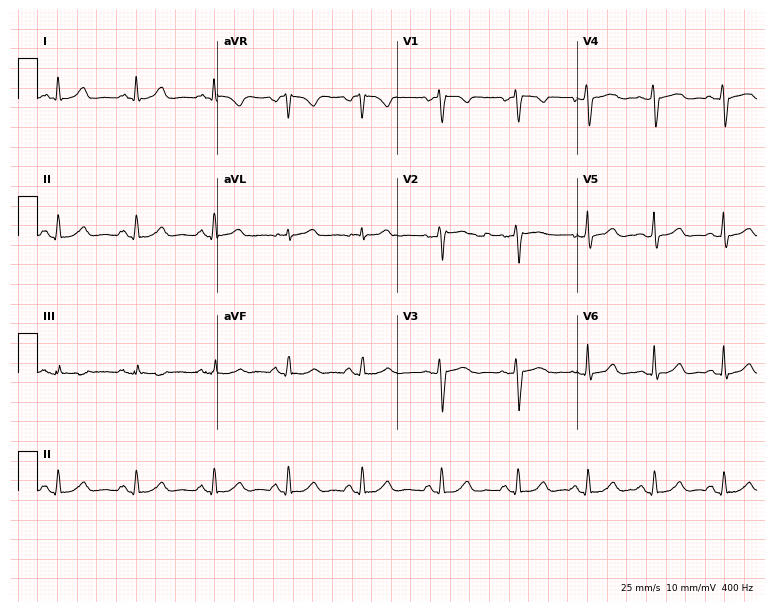
ECG (7.3-second recording at 400 Hz) — a woman, 35 years old. Labelled as a normal ECG.